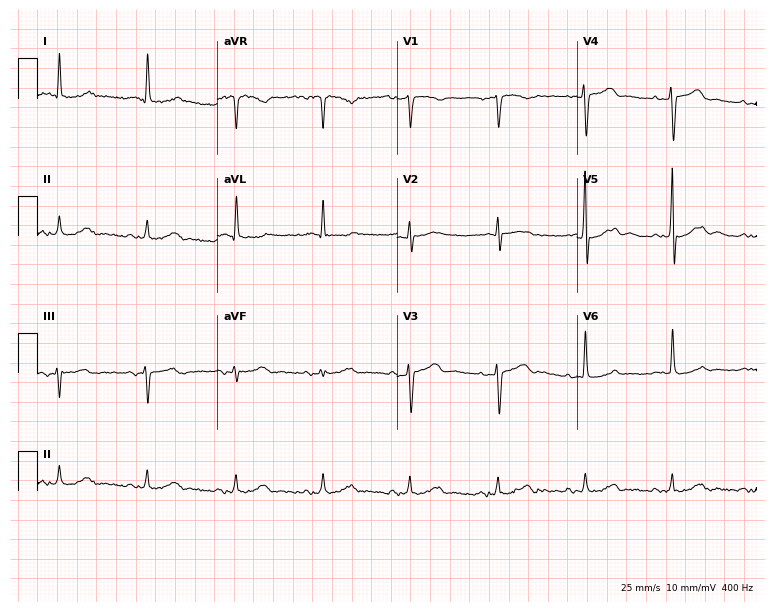
12-lead ECG from a male patient, 77 years old (7.3-second recording at 400 Hz). No first-degree AV block, right bundle branch block (RBBB), left bundle branch block (LBBB), sinus bradycardia, atrial fibrillation (AF) or sinus tachycardia recorded for this tracing. Other findings, if any, are not listed.